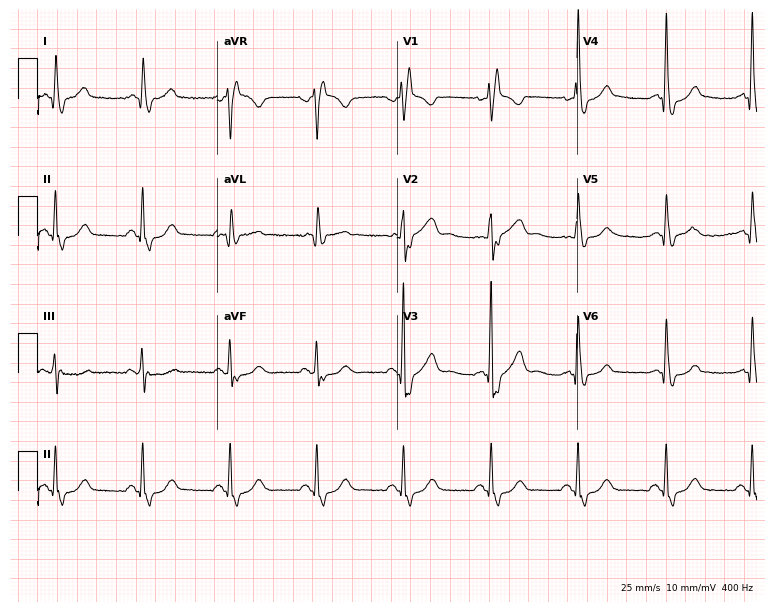
Electrocardiogram, a 62-year-old male. Interpretation includes right bundle branch block.